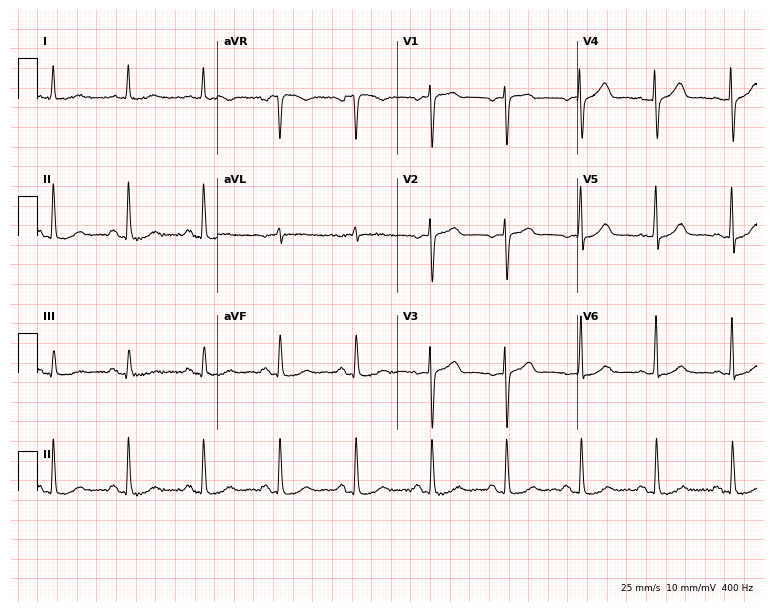
ECG — a woman, 77 years old. Labelled as a normal ECG.